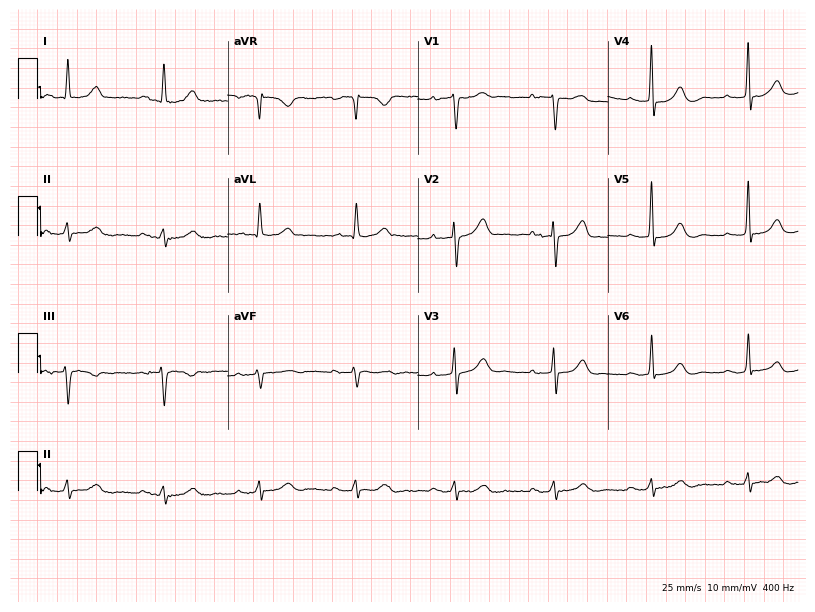
Electrocardiogram (7.8-second recording at 400 Hz), a female, 77 years old. Interpretation includes first-degree AV block.